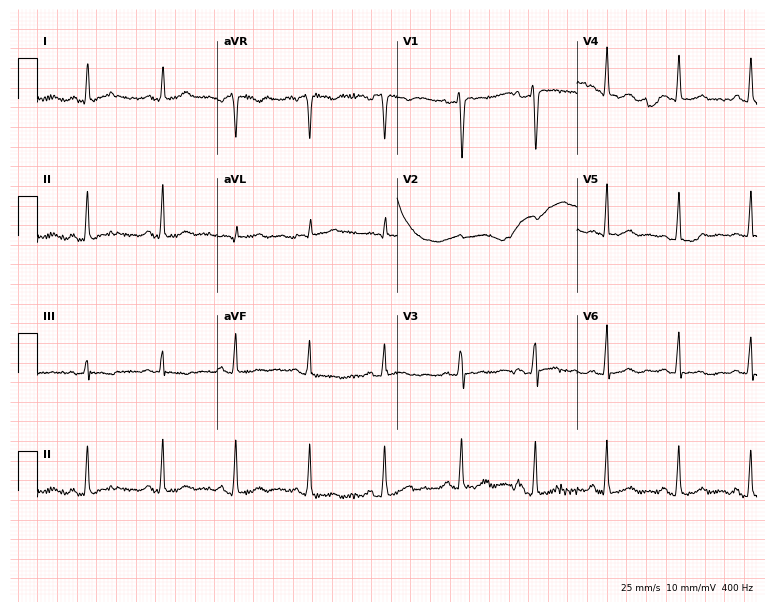
12-lead ECG from a 29-year-old female patient. Screened for six findings — first-degree AV block, right bundle branch block (RBBB), left bundle branch block (LBBB), sinus bradycardia, atrial fibrillation (AF), sinus tachycardia — none is recorded.